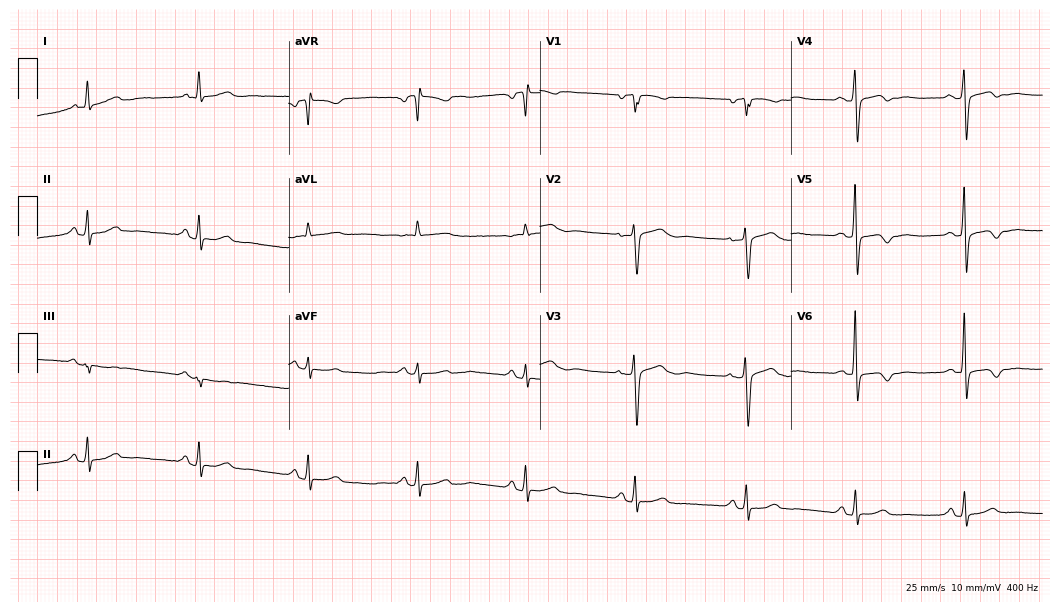
ECG (10.2-second recording at 400 Hz) — a woman, 80 years old. Screened for six findings — first-degree AV block, right bundle branch block, left bundle branch block, sinus bradycardia, atrial fibrillation, sinus tachycardia — none is recorded. Findings outside these six are not listed.